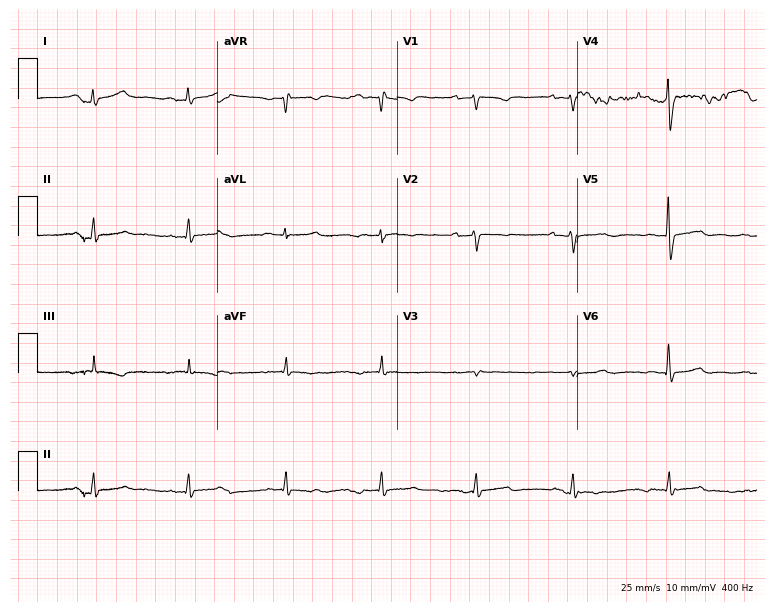
12-lead ECG from a 54-year-old female patient. No first-degree AV block, right bundle branch block, left bundle branch block, sinus bradycardia, atrial fibrillation or sinus tachycardia recorded for this tracing.